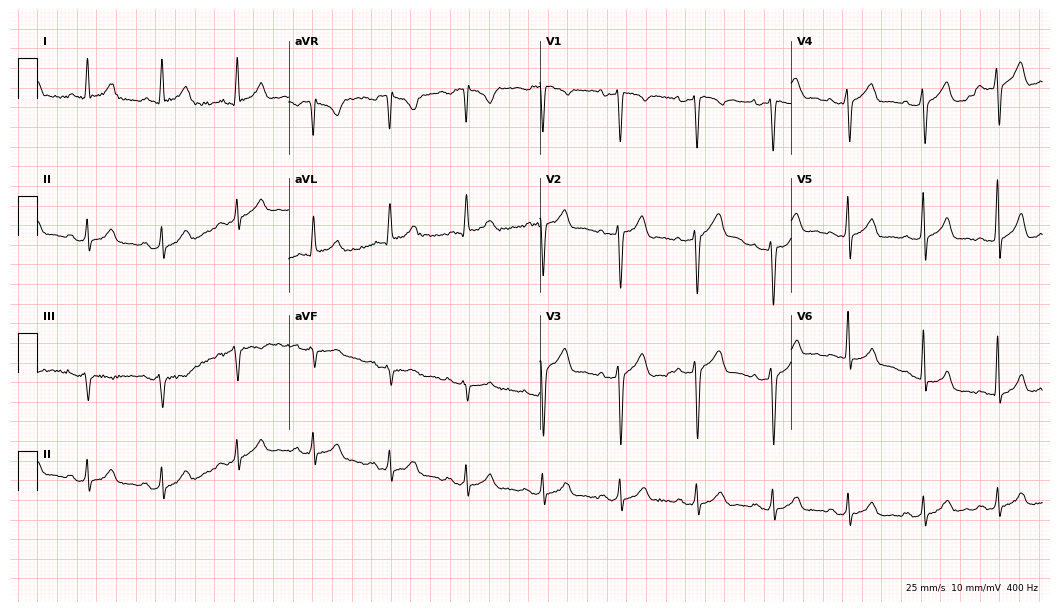
12-lead ECG from a man, 32 years old (10.2-second recording at 400 Hz). Recorded interpretation: within normal limits.